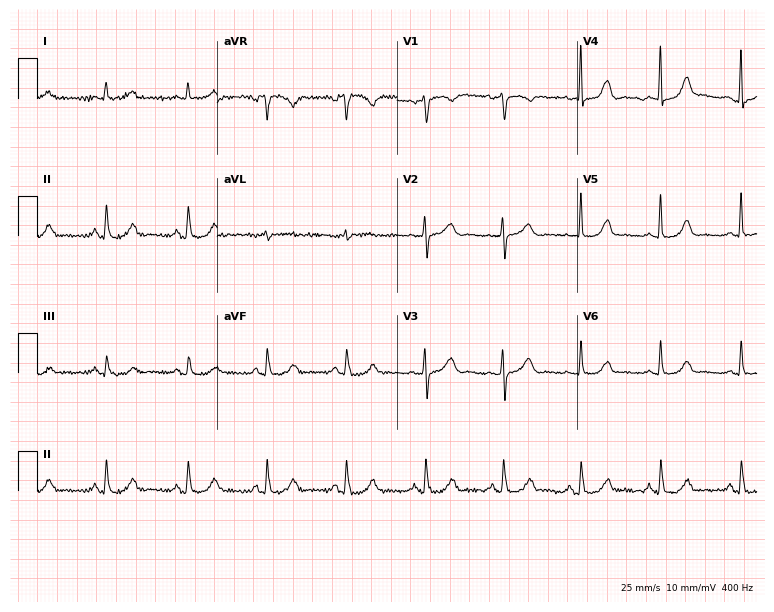
Electrocardiogram, a 70-year-old woman. Overall reading on record: normal ECG.